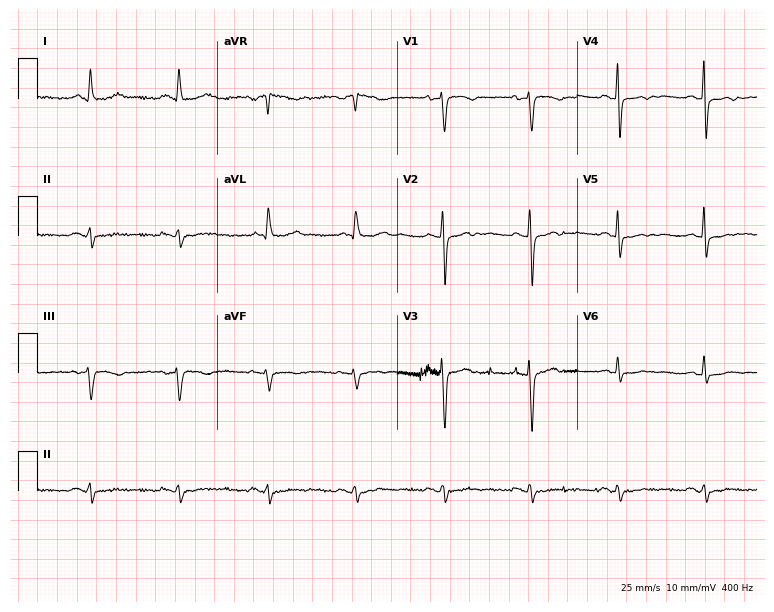
Electrocardiogram, a female patient, 60 years old. Of the six screened findings (first-degree AV block, right bundle branch block, left bundle branch block, sinus bradycardia, atrial fibrillation, sinus tachycardia), none is recorded. Findings outside these six are not listed.